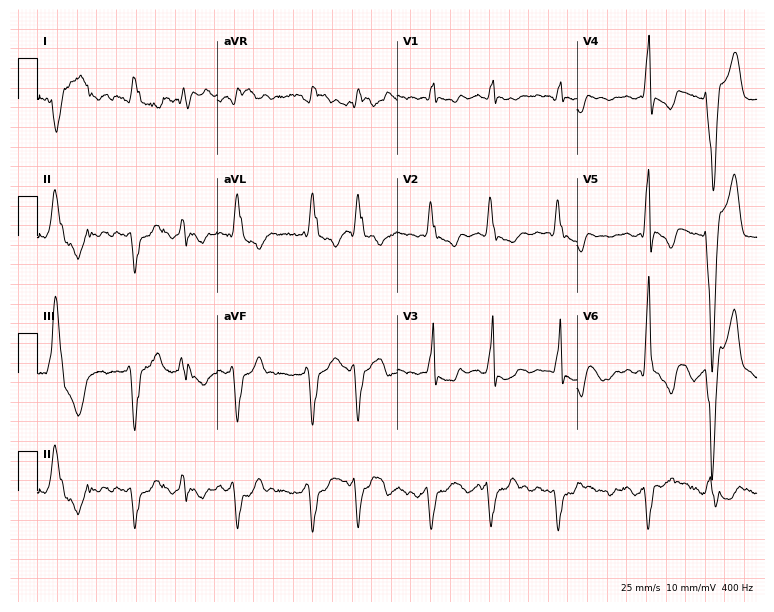
ECG (7.3-second recording at 400 Hz) — a male patient, 70 years old. Findings include right bundle branch block (RBBB).